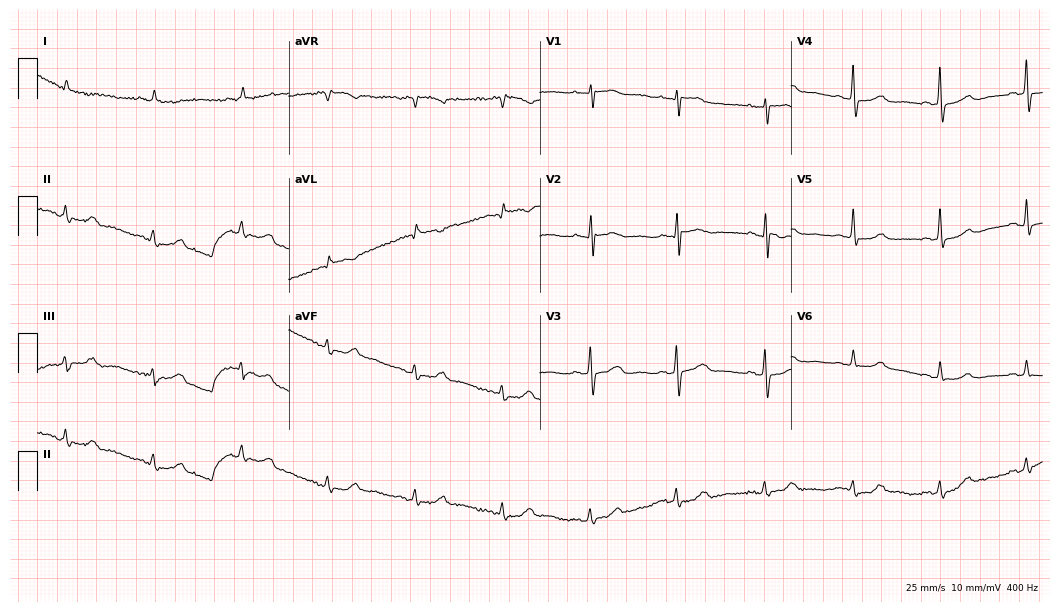
12-lead ECG (10.2-second recording at 400 Hz) from a female, 81 years old. Screened for six findings — first-degree AV block, right bundle branch block, left bundle branch block, sinus bradycardia, atrial fibrillation, sinus tachycardia — none is recorded. Other findings, if any, are not listed.